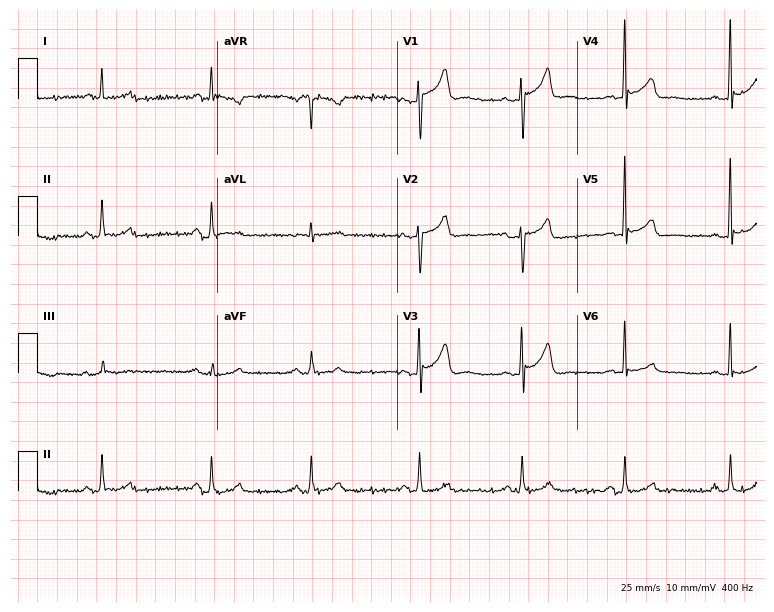
12-lead ECG from a 63-year-old male patient. Screened for six findings — first-degree AV block, right bundle branch block, left bundle branch block, sinus bradycardia, atrial fibrillation, sinus tachycardia — none is recorded.